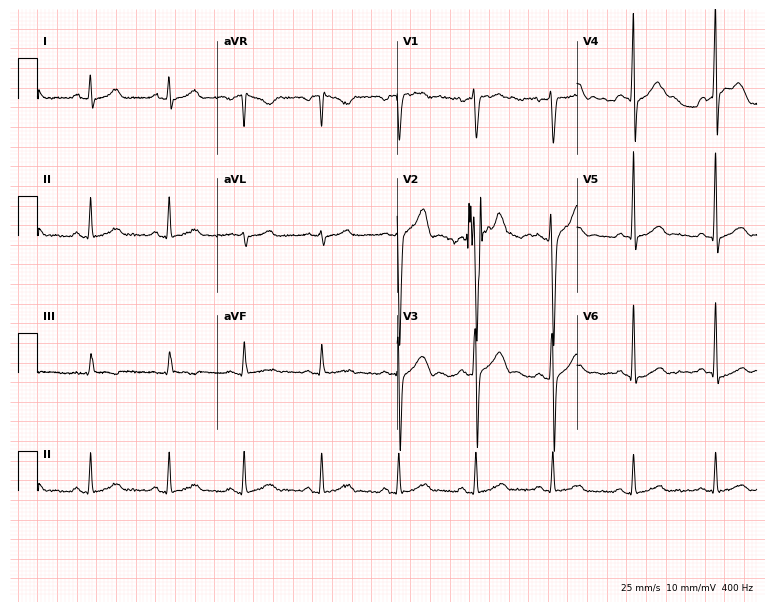
Electrocardiogram, a male patient, 33 years old. Overall reading on record: normal ECG.